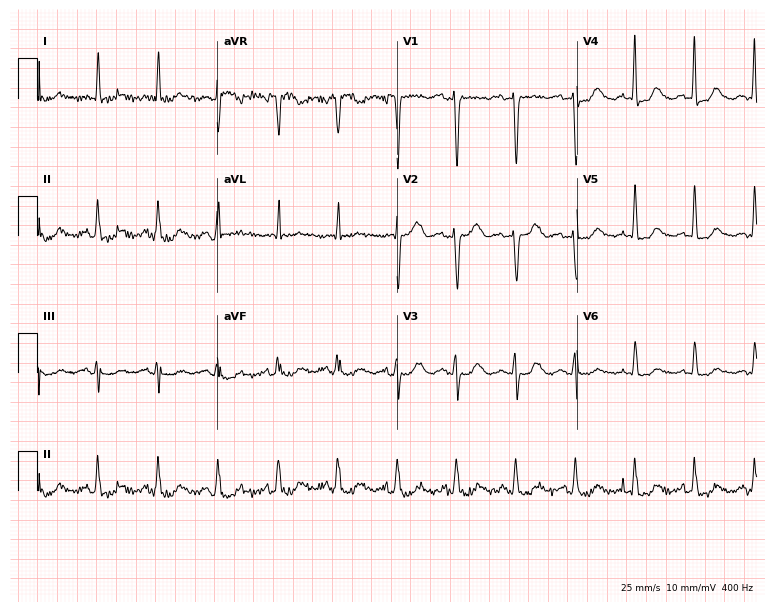
ECG — a 63-year-old male. Labelled as a normal ECG.